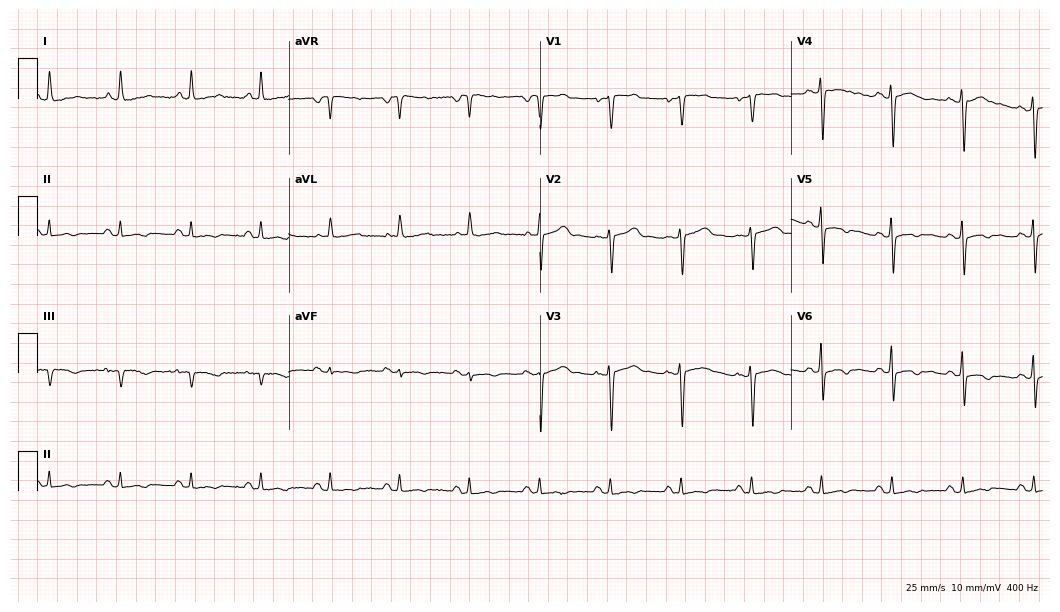
Electrocardiogram, a female, 56 years old. Of the six screened findings (first-degree AV block, right bundle branch block, left bundle branch block, sinus bradycardia, atrial fibrillation, sinus tachycardia), none is recorded. Other findings, if any, are not listed.